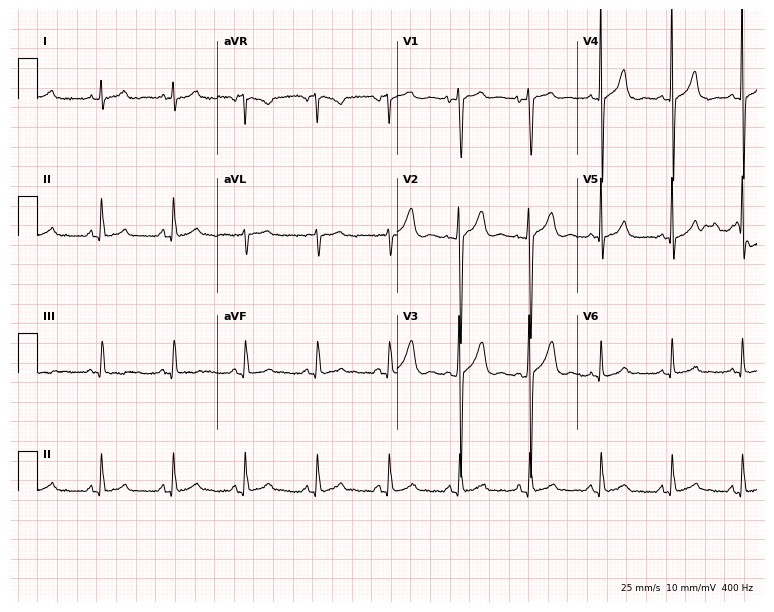
12-lead ECG (7.3-second recording at 400 Hz) from a man, 24 years old. Screened for six findings — first-degree AV block, right bundle branch block (RBBB), left bundle branch block (LBBB), sinus bradycardia, atrial fibrillation (AF), sinus tachycardia — none is recorded.